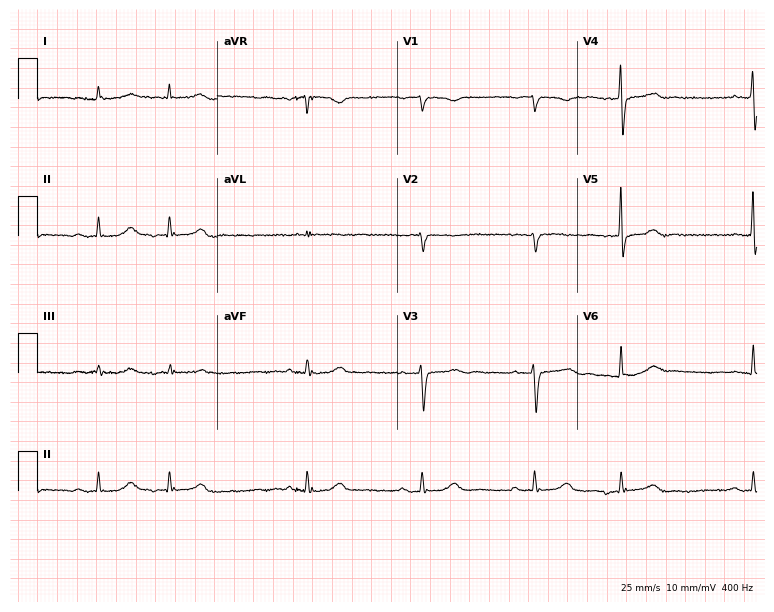
Resting 12-lead electrocardiogram (7.3-second recording at 400 Hz). Patient: a 77-year-old man. None of these six findings is recorded: first-degree AV block, right bundle branch block, left bundle branch block, sinus bradycardia, atrial fibrillation, sinus tachycardia. Only these six findings were labelled.